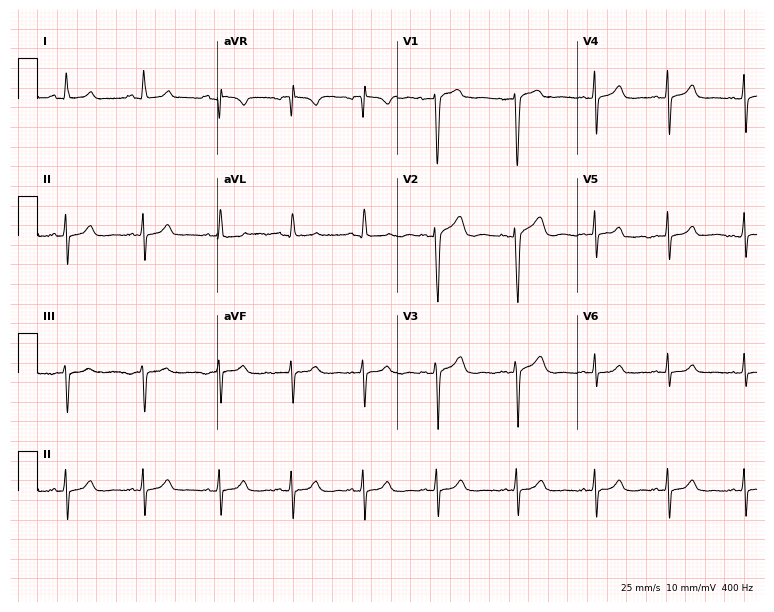
12-lead ECG from a female patient, 28 years old. Screened for six findings — first-degree AV block, right bundle branch block (RBBB), left bundle branch block (LBBB), sinus bradycardia, atrial fibrillation (AF), sinus tachycardia — none is recorded.